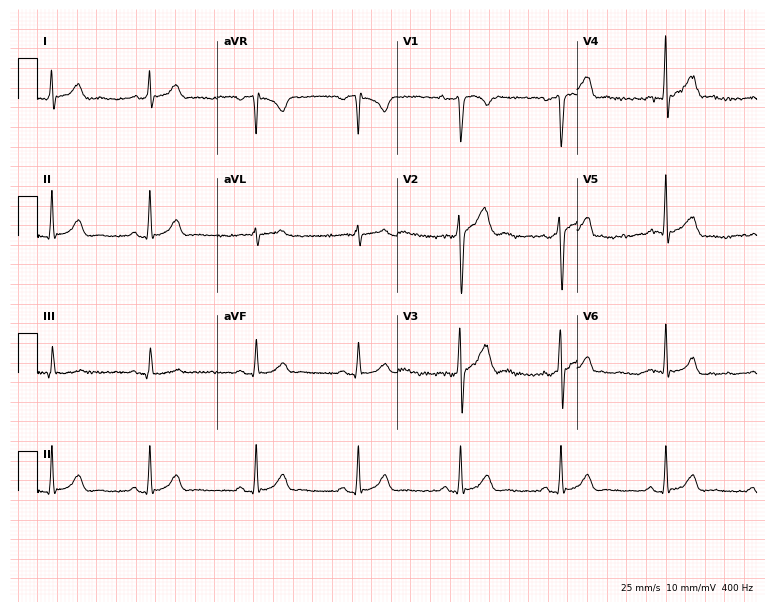
Electrocardiogram (7.3-second recording at 400 Hz), a male, 28 years old. Of the six screened findings (first-degree AV block, right bundle branch block (RBBB), left bundle branch block (LBBB), sinus bradycardia, atrial fibrillation (AF), sinus tachycardia), none is recorded. Only these six findings were labelled.